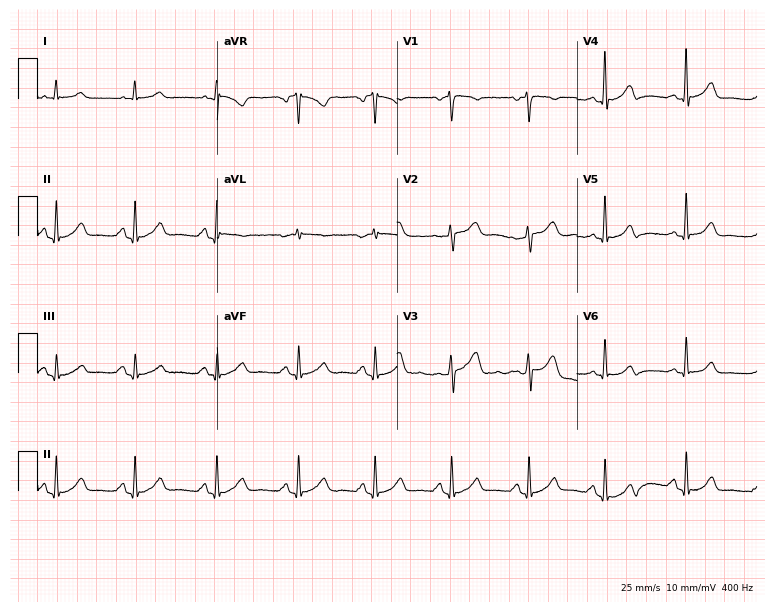
ECG — a woman, 47 years old. Screened for six findings — first-degree AV block, right bundle branch block (RBBB), left bundle branch block (LBBB), sinus bradycardia, atrial fibrillation (AF), sinus tachycardia — none is recorded. Other findings, if any, are not listed.